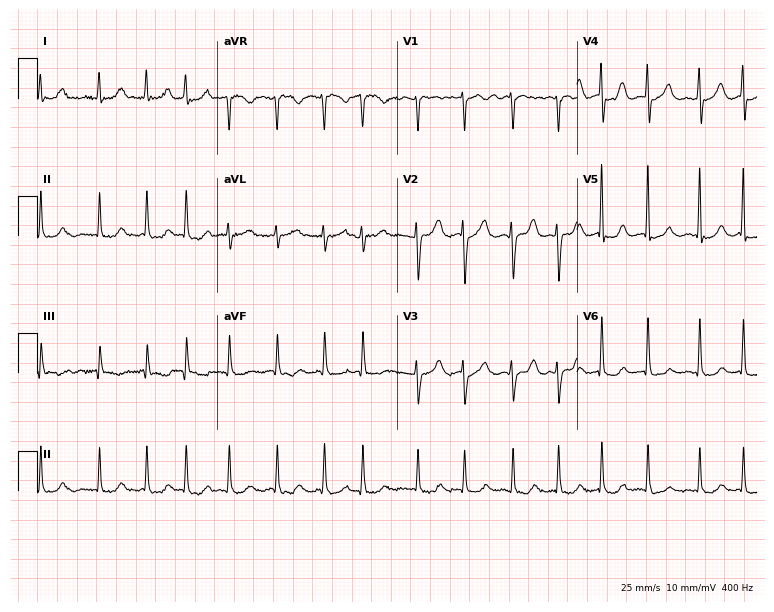
ECG (7.3-second recording at 400 Hz) — an 83-year-old woman. Findings include atrial fibrillation.